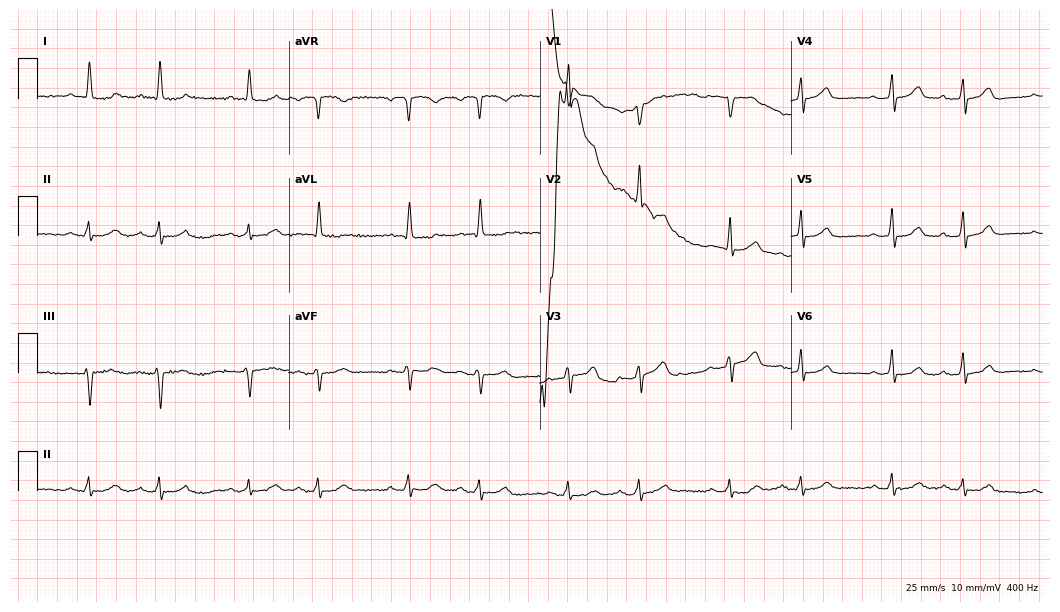
Resting 12-lead electrocardiogram (10.2-second recording at 400 Hz). Patient: a 60-year-old male. None of these six findings is recorded: first-degree AV block, right bundle branch block, left bundle branch block, sinus bradycardia, atrial fibrillation, sinus tachycardia. Only these six findings were labelled.